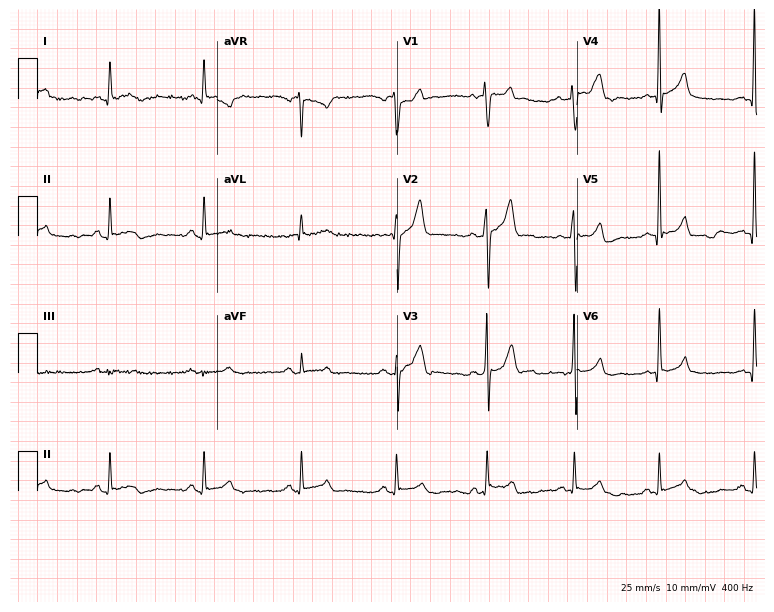
Standard 12-lead ECG recorded from a man, 53 years old (7.3-second recording at 400 Hz). Read as a normal ECG.